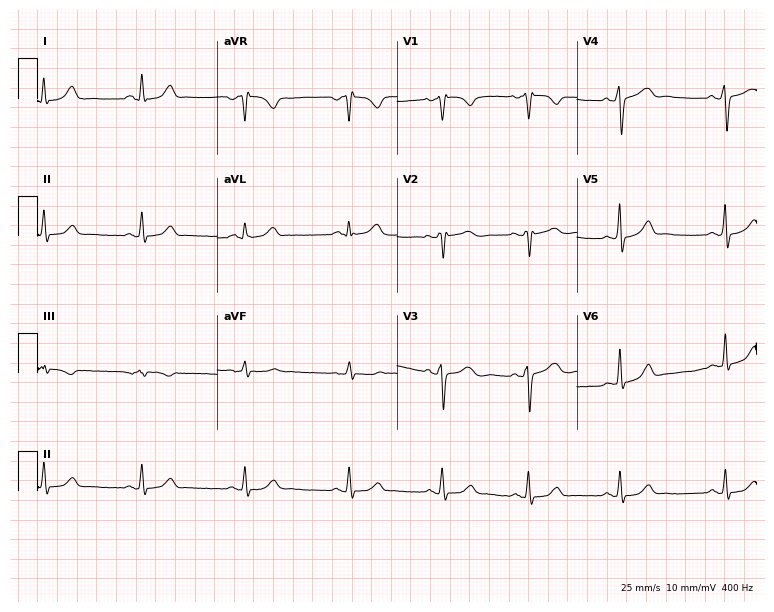
Standard 12-lead ECG recorded from a female patient, 27 years old. None of these six findings is recorded: first-degree AV block, right bundle branch block, left bundle branch block, sinus bradycardia, atrial fibrillation, sinus tachycardia.